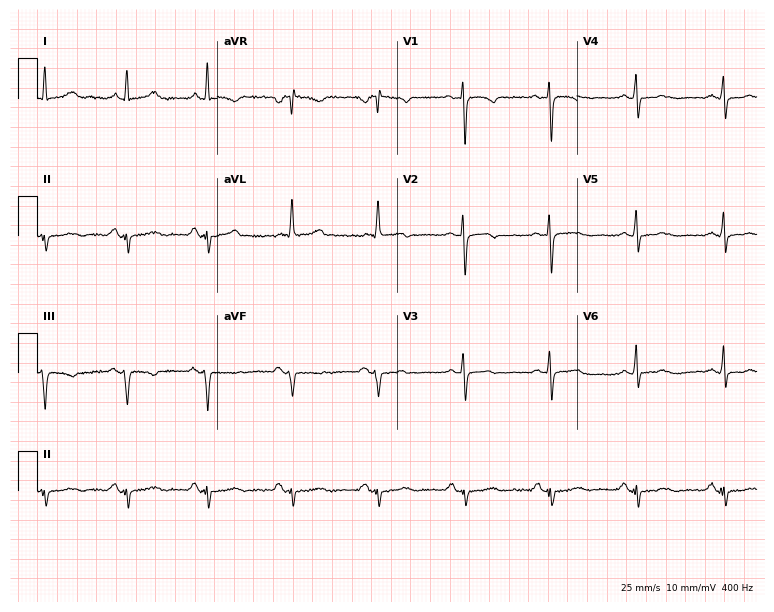
ECG — a 60-year-old female. Screened for six findings — first-degree AV block, right bundle branch block, left bundle branch block, sinus bradycardia, atrial fibrillation, sinus tachycardia — none is recorded.